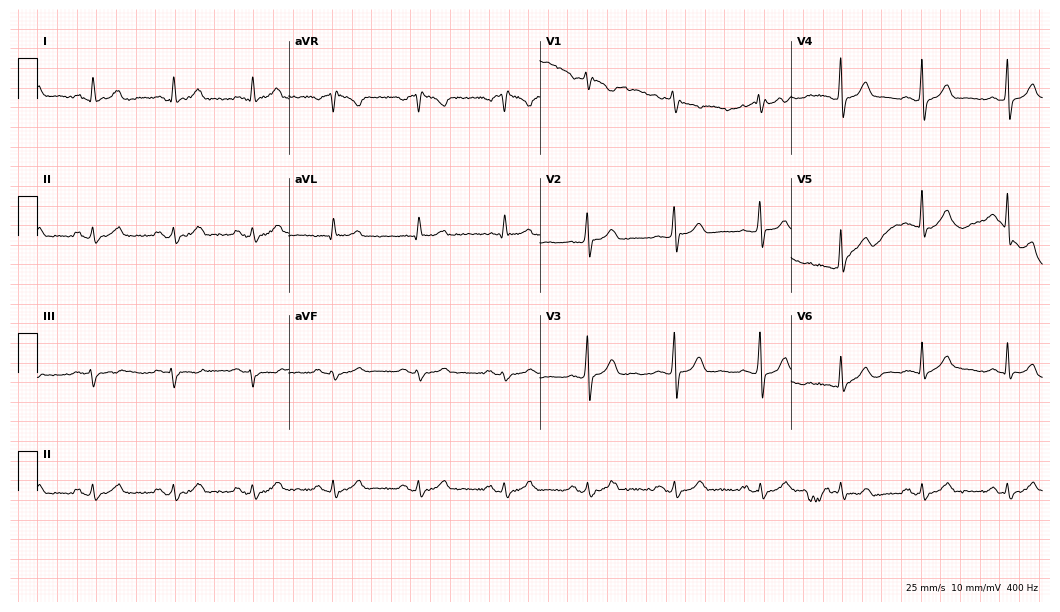
12-lead ECG from a man, 47 years old. No first-degree AV block, right bundle branch block, left bundle branch block, sinus bradycardia, atrial fibrillation or sinus tachycardia recorded for this tracing.